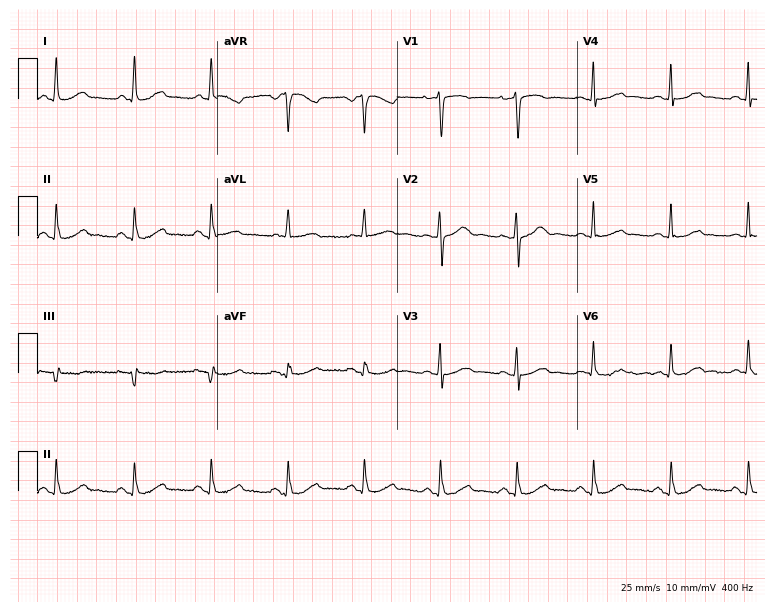
12-lead ECG from a female, 58 years old. Labelled as a normal ECG.